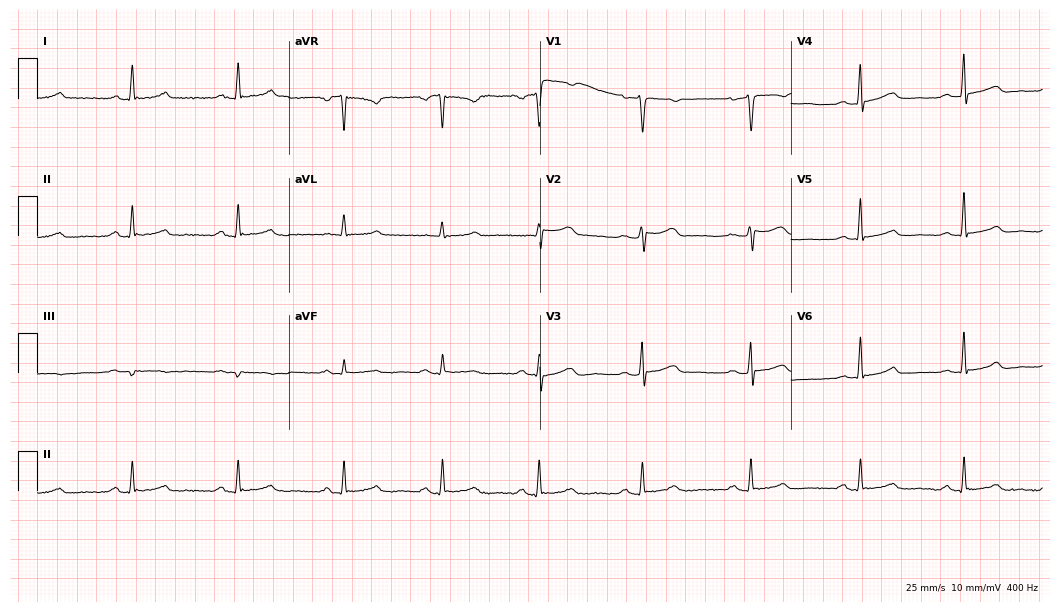
Standard 12-lead ECG recorded from a 53-year-old woman (10.2-second recording at 400 Hz). None of these six findings is recorded: first-degree AV block, right bundle branch block (RBBB), left bundle branch block (LBBB), sinus bradycardia, atrial fibrillation (AF), sinus tachycardia.